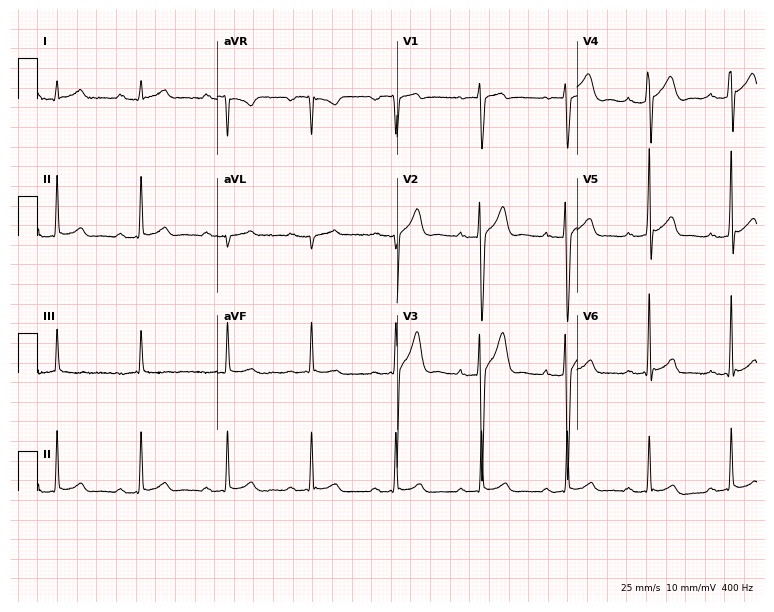
Resting 12-lead electrocardiogram. Patient: a male, 25 years old. The tracing shows first-degree AV block.